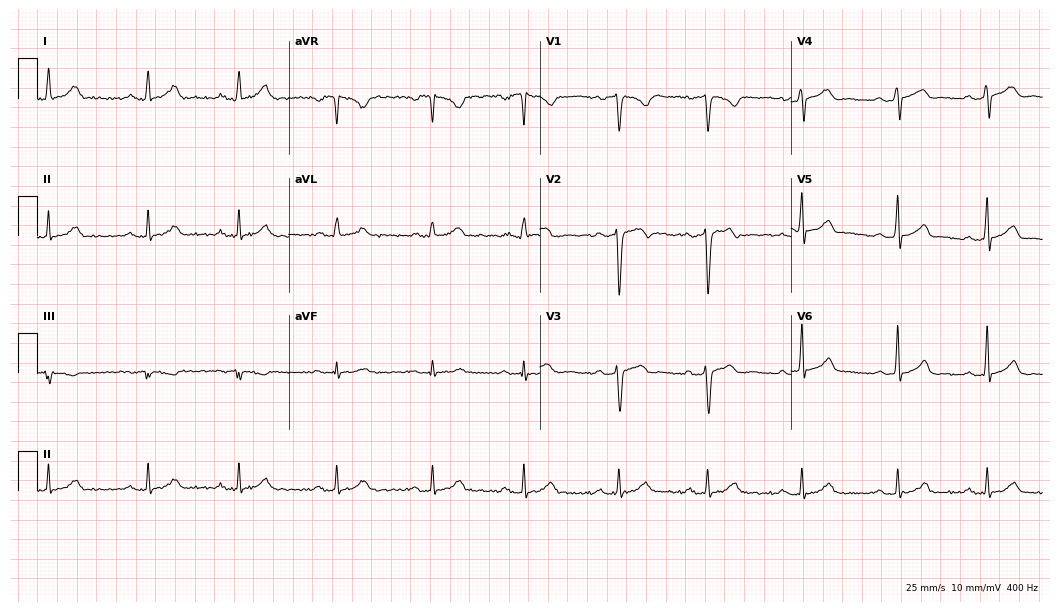
12-lead ECG from a man, 26 years old. Recorded interpretation: within normal limits.